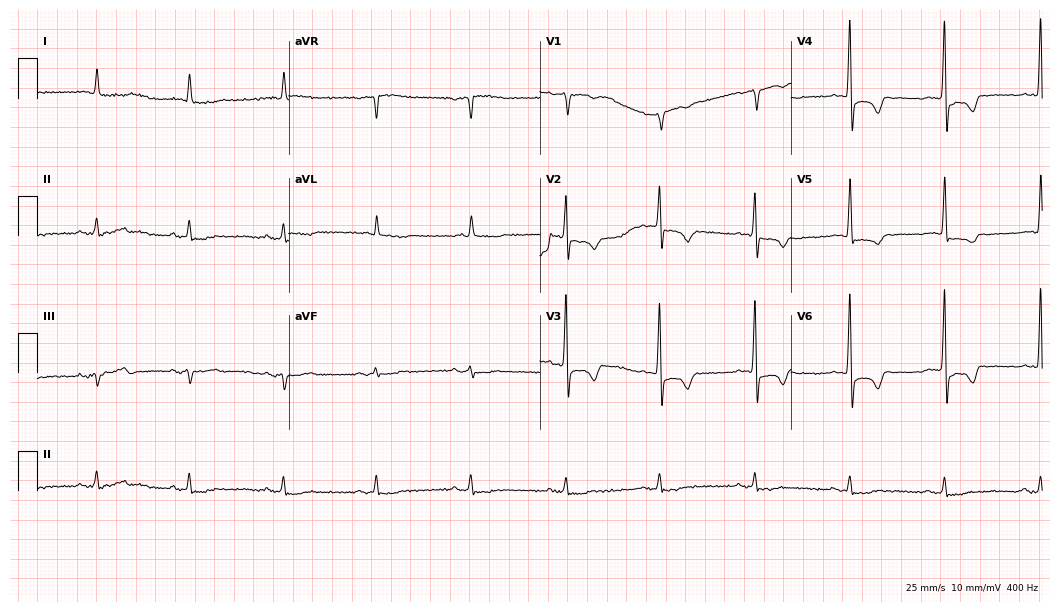
Electrocardiogram (10.2-second recording at 400 Hz), a man, 78 years old. Of the six screened findings (first-degree AV block, right bundle branch block, left bundle branch block, sinus bradycardia, atrial fibrillation, sinus tachycardia), none is recorded. Findings outside these six are not listed.